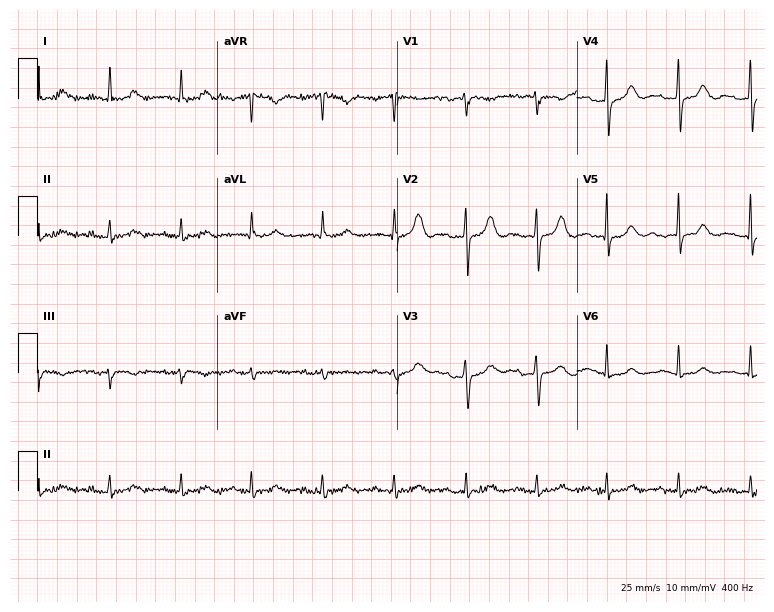
ECG (7.3-second recording at 400 Hz) — a woman, 85 years old. Labelled as a normal ECG.